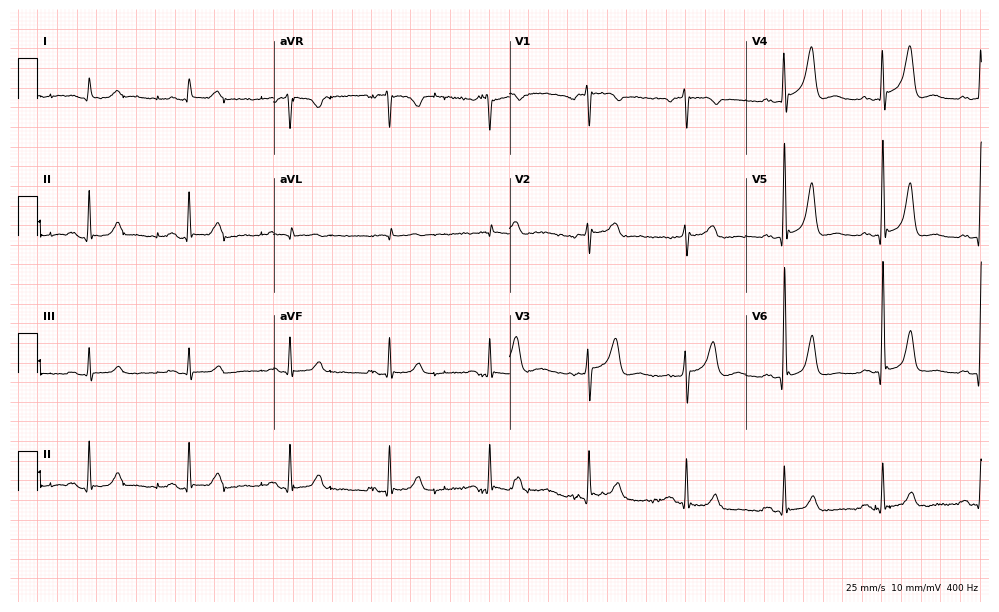
12-lead ECG from a 74-year-old male. Recorded interpretation: within normal limits.